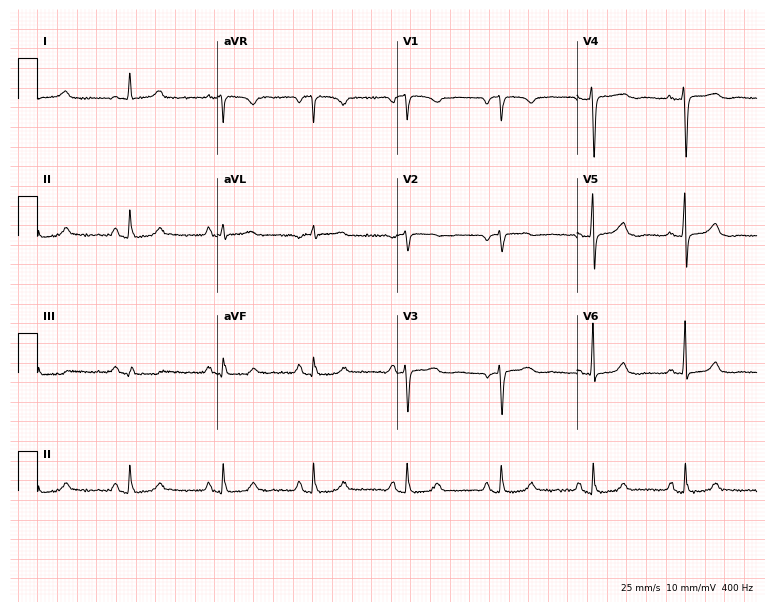
12-lead ECG from a 58-year-old female patient. No first-degree AV block, right bundle branch block, left bundle branch block, sinus bradycardia, atrial fibrillation or sinus tachycardia recorded for this tracing. Findings outside these six are not listed.